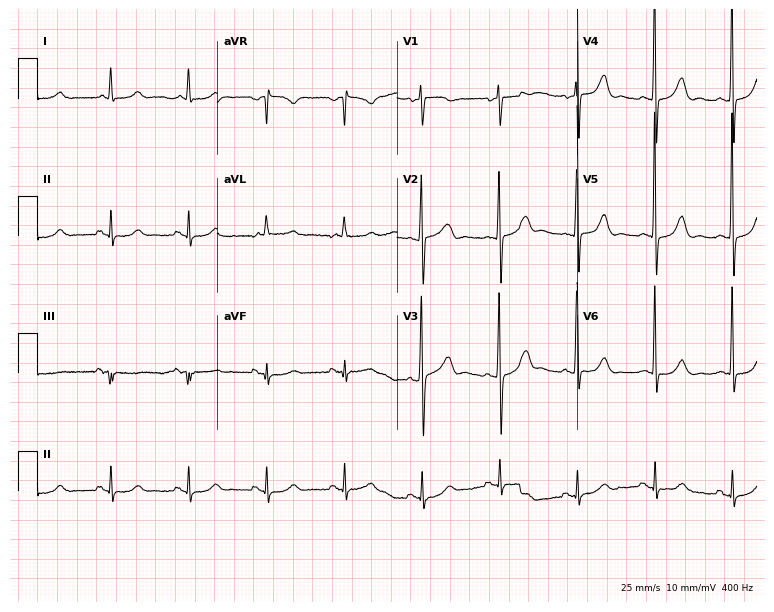
Standard 12-lead ECG recorded from an 85-year-old male patient. None of these six findings is recorded: first-degree AV block, right bundle branch block (RBBB), left bundle branch block (LBBB), sinus bradycardia, atrial fibrillation (AF), sinus tachycardia.